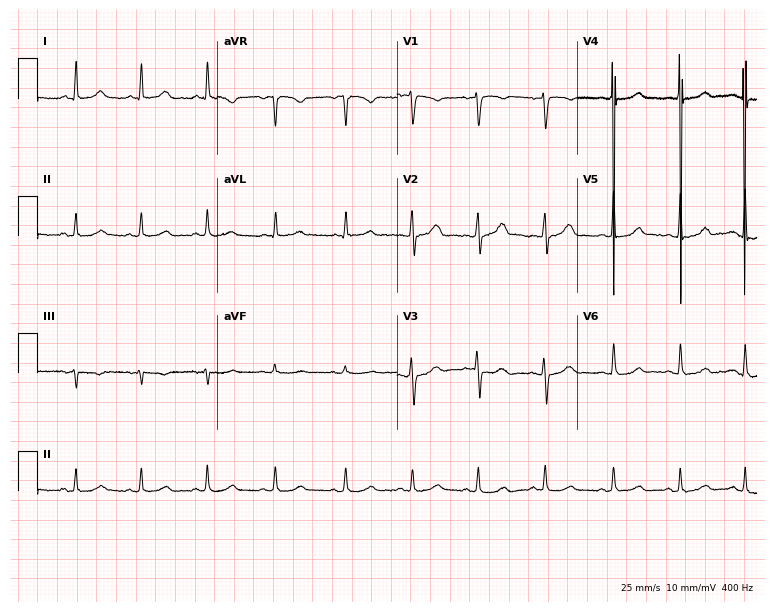
Standard 12-lead ECG recorded from a female patient, 41 years old. Read as a normal ECG.